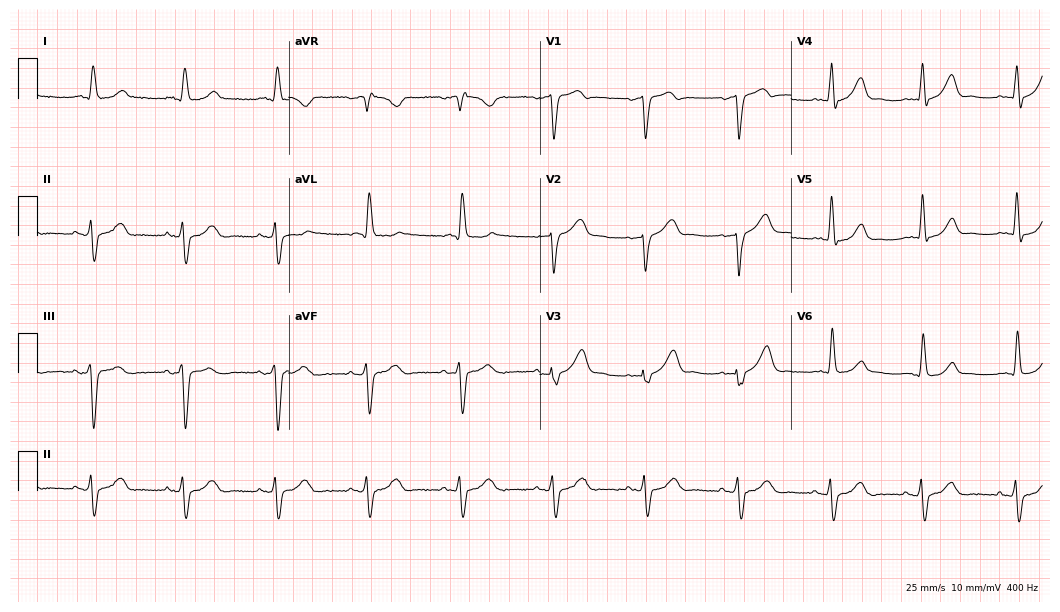
Electrocardiogram, a 78-year-old male patient. Of the six screened findings (first-degree AV block, right bundle branch block (RBBB), left bundle branch block (LBBB), sinus bradycardia, atrial fibrillation (AF), sinus tachycardia), none is recorded. Findings outside these six are not listed.